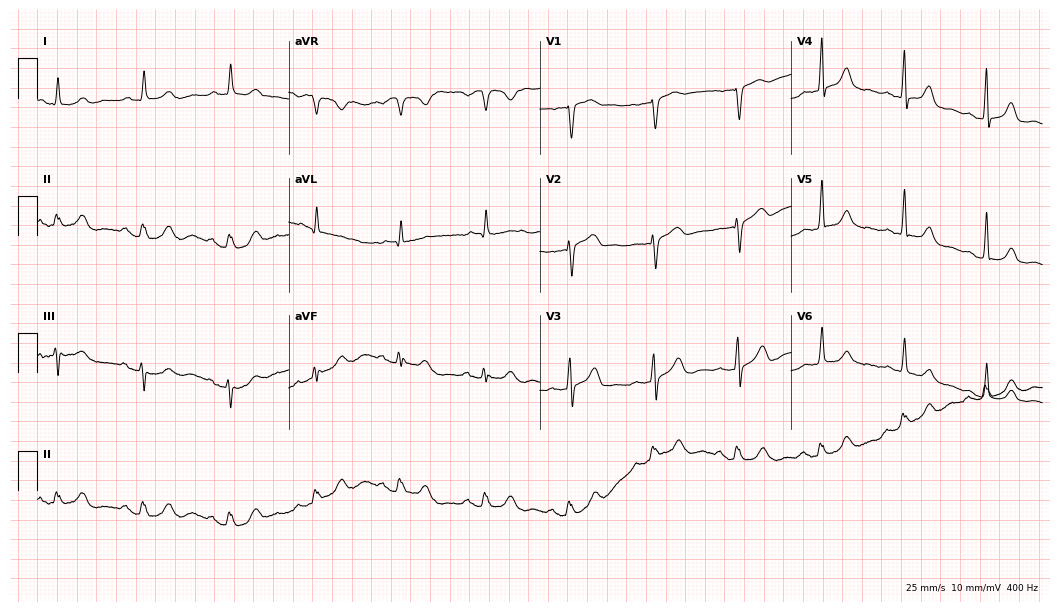
12-lead ECG from a 69-year-old male patient (10.2-second recording at 400 Hz). Recorded interpretation: within normal limits.